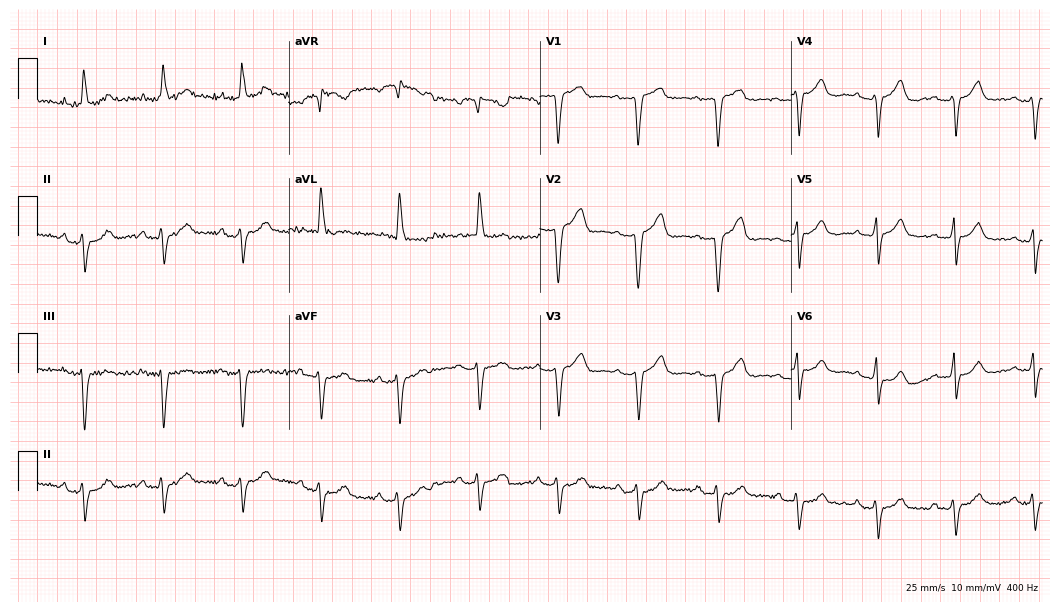
Standard 12-lead ECG recorded from a female patient, 74 years old (10.2-second recording at 400 Hz). None of these six findings is recorded: first-degree AV block, right bundle branch block (RBBB), left bundle branch block (LBBB), sinus bradycardia, atrial fibrillation (AF), sinus tachycardia.